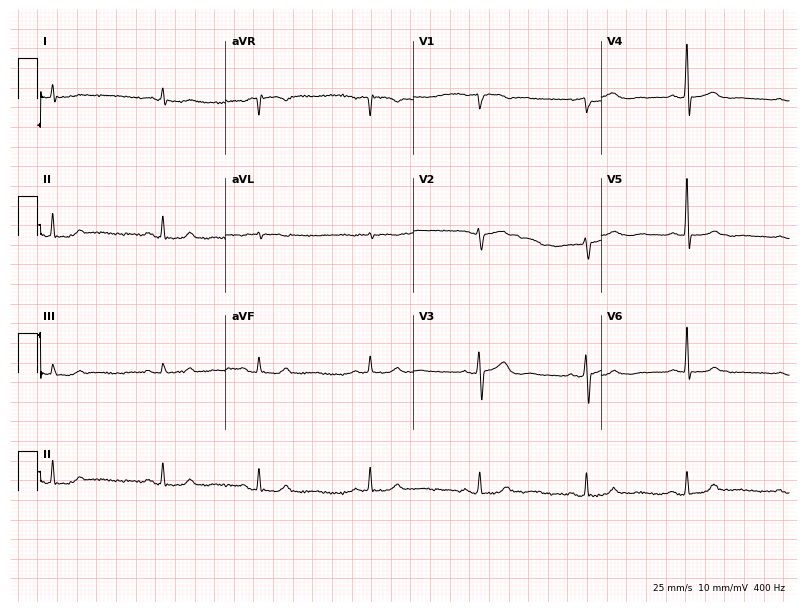
12-lead ECG from a male patient, 80 years old. No first-degree AV block, right bundle branch block, left bundle branch block, sinus bradycardia, atrial fibrillation or sinus tachycardia recorded for this tracing. Only these six findings were labelled.